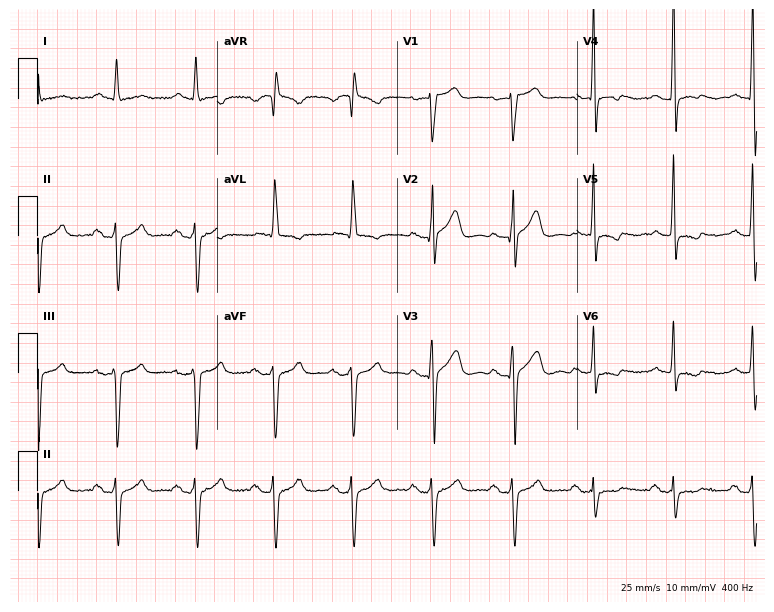
Electrocardiogram, a male, 69 years old. Of the six screened findings (first-degree AV block, right bundle branch block, left bundle branch block, sinus bradycardia, atrial fibrillation, sinus tachycardia), none is recorded.